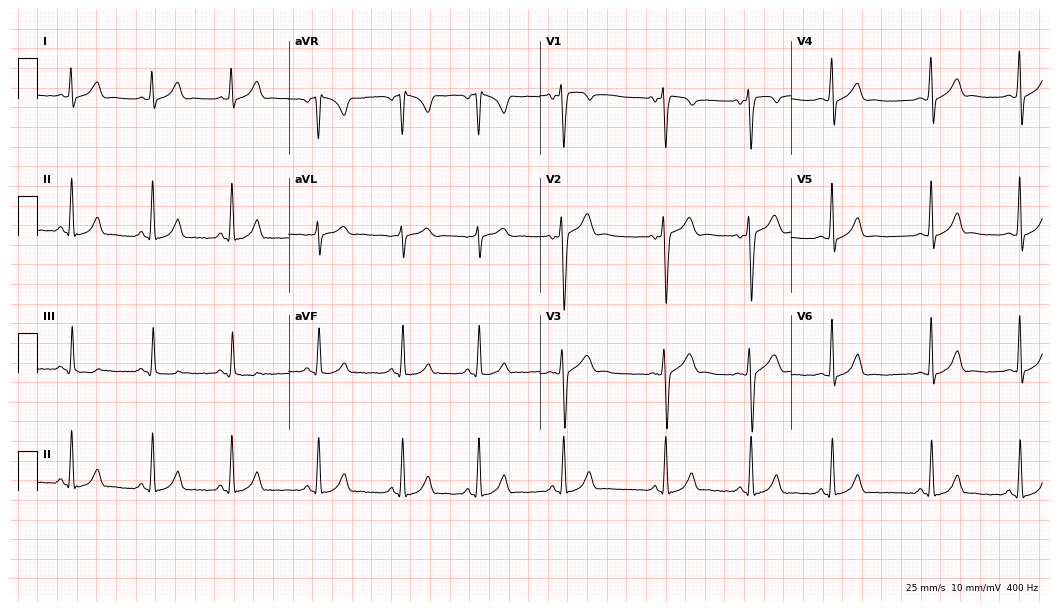
12-lead ECG from a 20-year-old male (10.2-second recording at 400 Hz). Recorded interpretation: within normal limits.